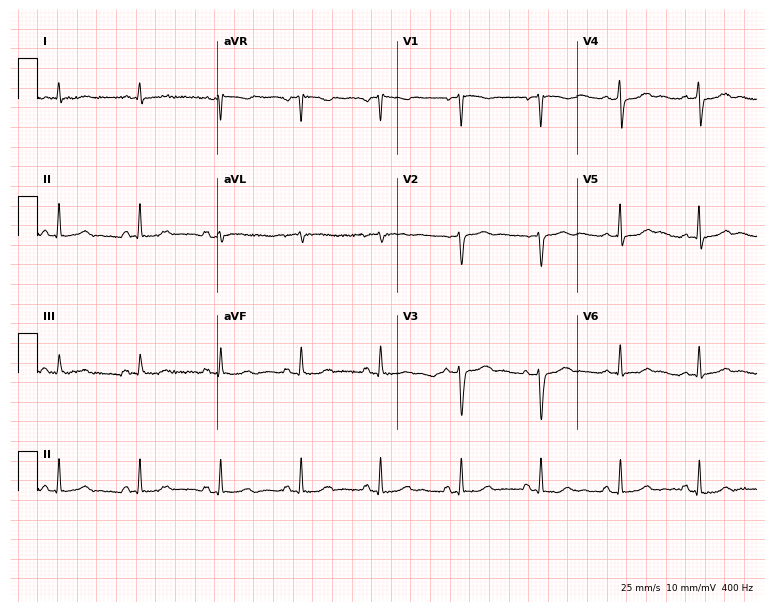
Resting 12-lead electrocardiogram (7.3-second recording at 400 Hz). Patient: a female, 58 years old. Read as a normal ECG.